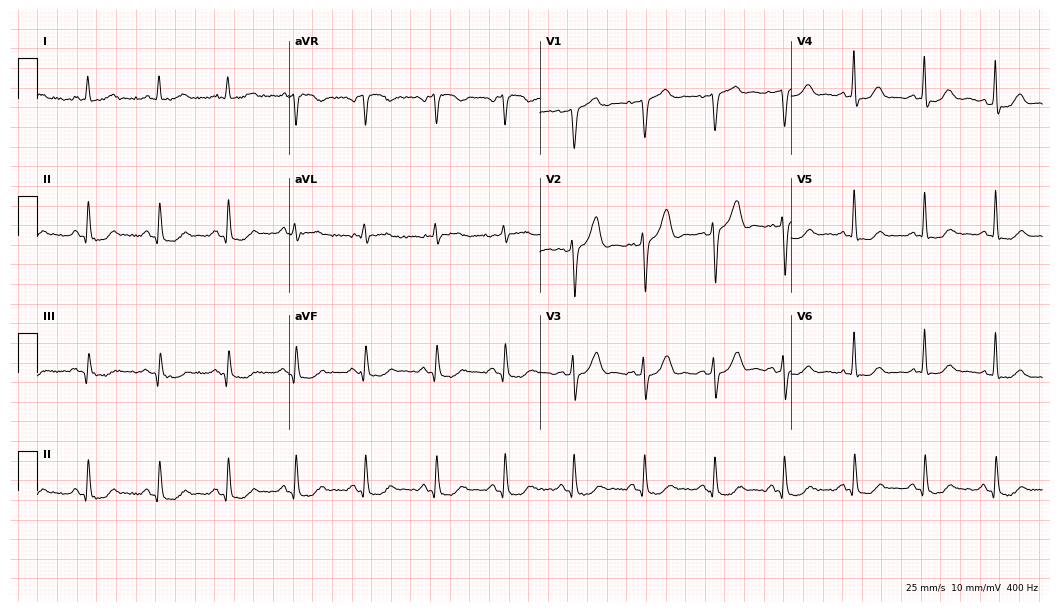
12-lead ECG from a man, 66 years old. Labelled as a normal ECG.